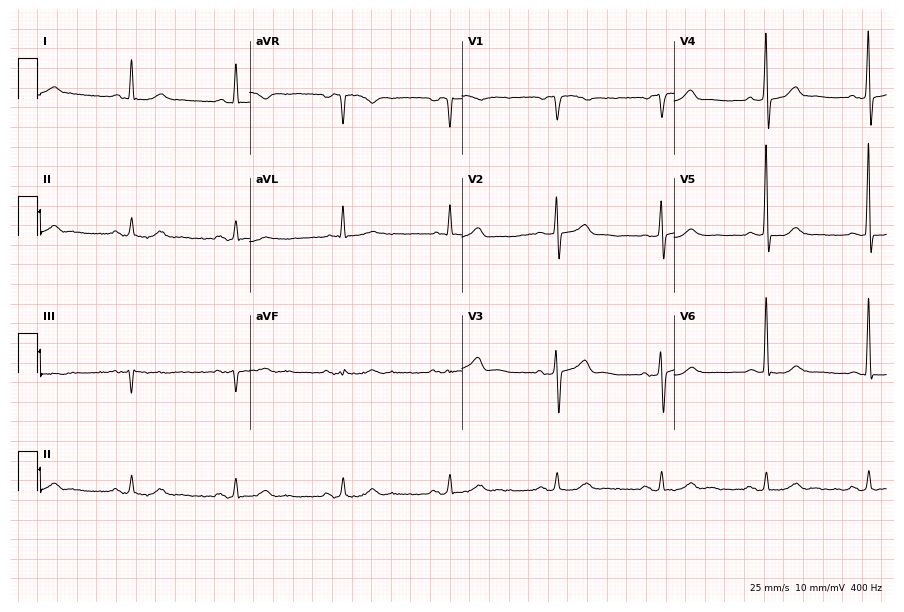
12-lead ECG (8.7-second recording at 400 Hz) from a 73-year-old male. Screened for six findings — first-degree AV block, right bundle branch block (RBBB), left bundle branch block (LBBB), sinus bradycardia, atrial fibrillation (AF), sinus tachycardia — none is recorded.